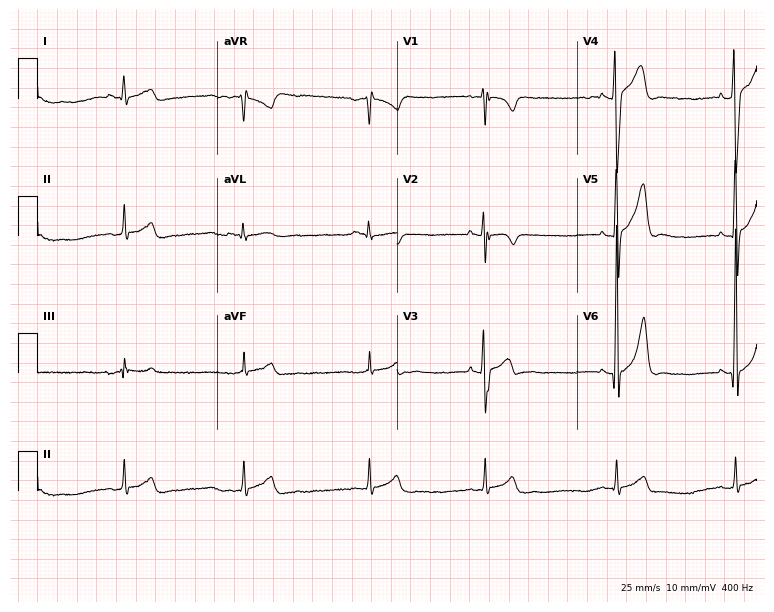
Resting 12-lead electrocardiogram. Patient: a 25-year-old male. The tracing shows sinus bradycardia (a sinus rate of 50 beats per minute or less).